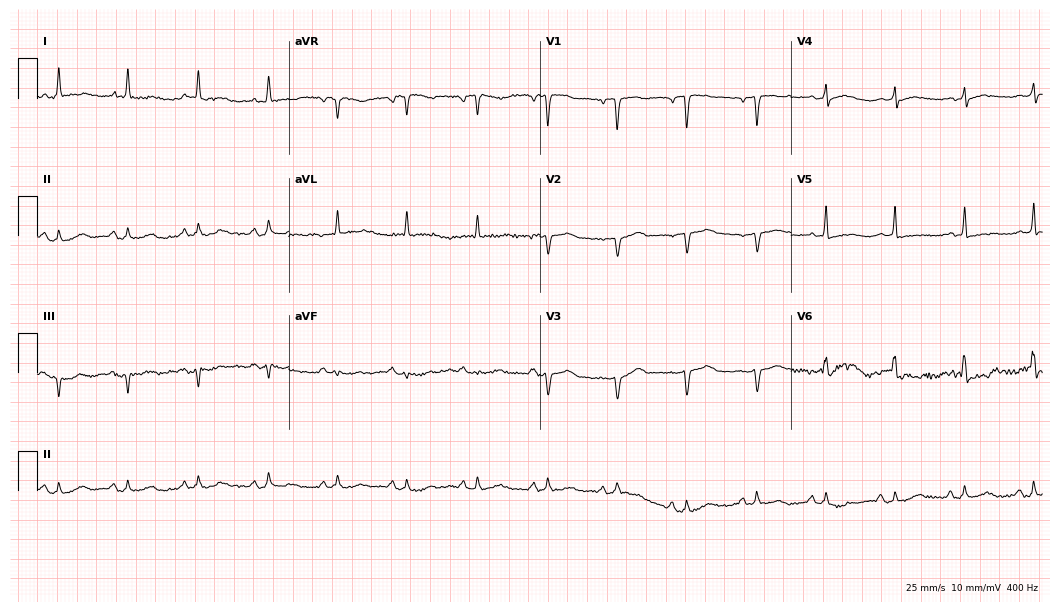
ECG (10.2-second recording at 400 Hz) — a 72-year-old female patient. Screened for six findings — first-degree AV block, right bundle branch block, left bundle branch block, sinus bradycardia, atrial fibrillation, sinus tachycardia — none is recorded.